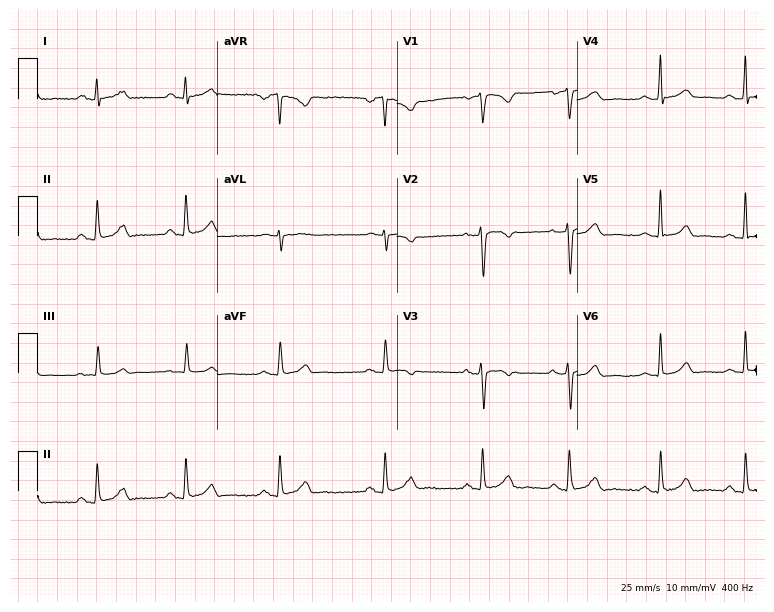
Standard 12-lead ECG recorded from a 51-year-old female (7.3-second recording at 400 Hz). None of these six findings is recorded: first-degree AV block, right bundle branch block, left bundle branch block, sinus bradycardia, atrial fibrillation, sinus tachycardia.